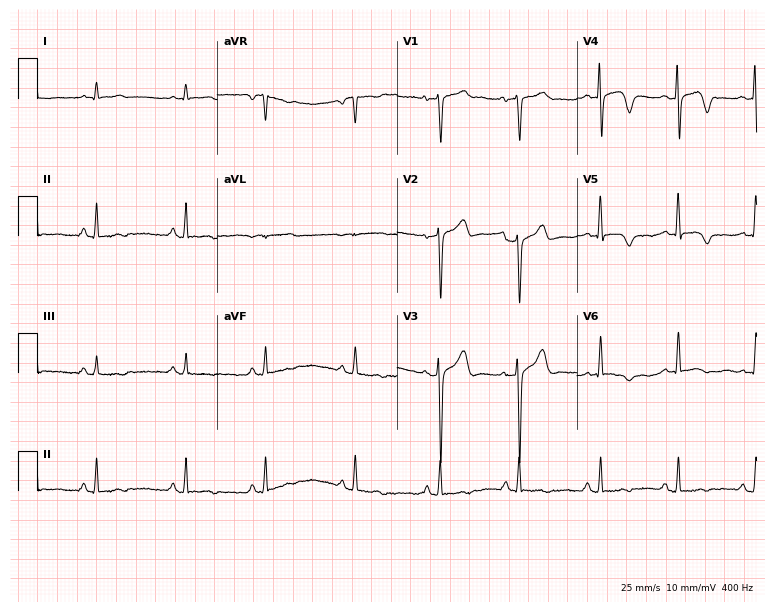
12-lead ECG from a male, 61 years old. Screened for six findings — first-degree AV block, right bundle branch block, left bundle branch block, sinus bradycardia, atrial fibrillation, sinus tachycardia — none is recorded. Only these six findings were labelled.